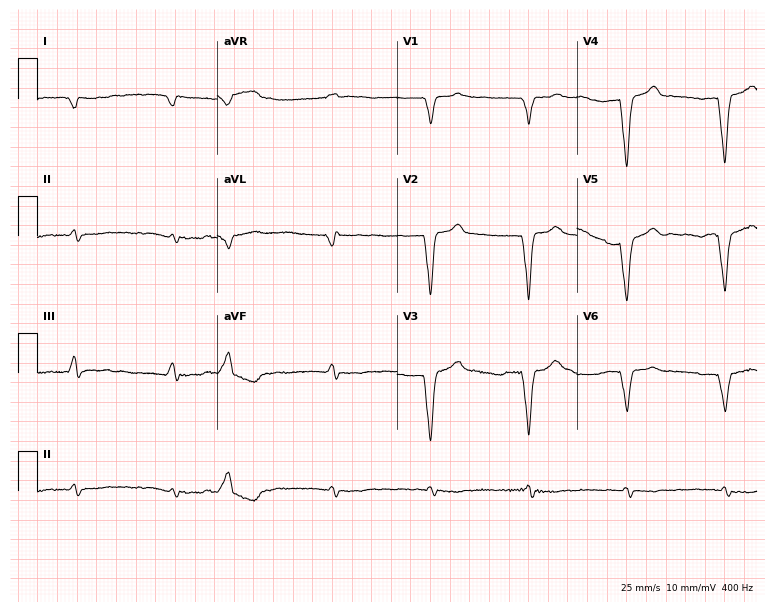
Resting 12-lead electrocardiogram (7.3-second recording at 400 Hz). Patient: a man, 79 years old. None of these six findings is recorded: first-degree AV block, right bundle branch block, left bundle branch block, sinus bradycardia, atrial fibrillation, sinus tachycardia.